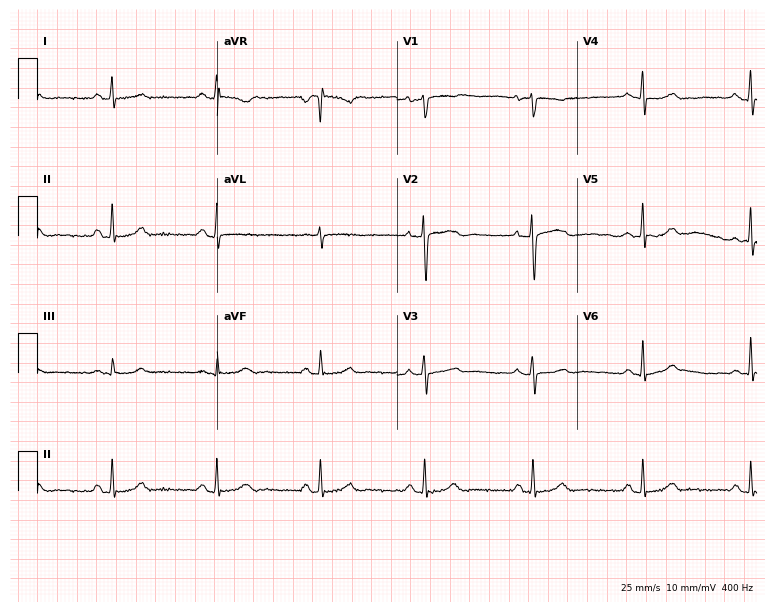
12-lead ECG (7.3-second recording at 400 Hz) from a woman, 45 years old. Screened for six findings — first-degree AV block, right bundle branch block, left bundle branch block, sinus bradycardia, atrial fibrillation, sinus tachycardia — none is recorded.